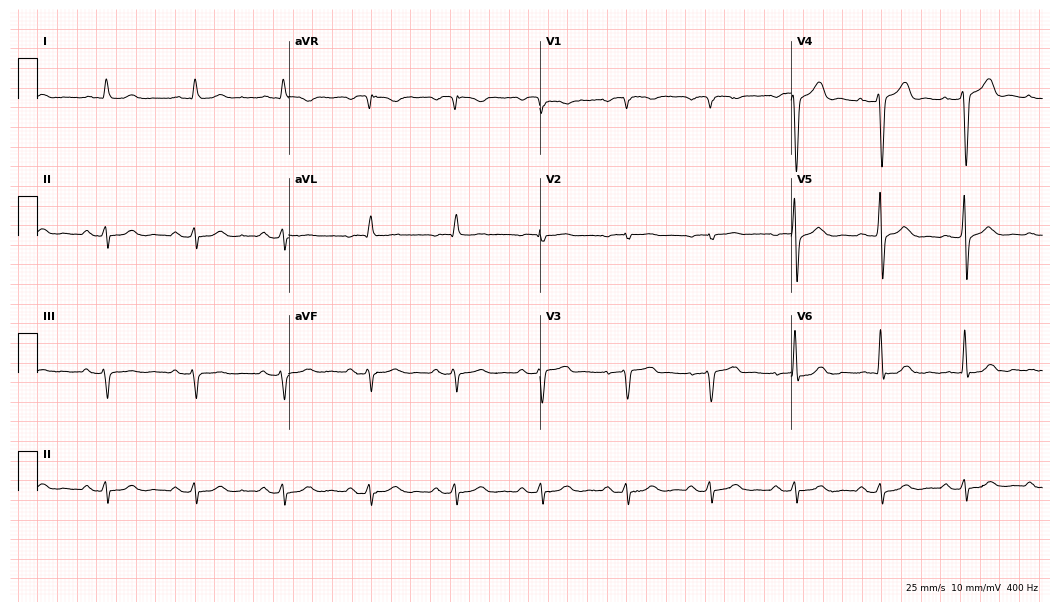
Electrocardiogram (10.2-second recording at 400 Hz), a 78-year-old male patient. Of the six screened findings (first-degree AV block, right bundle branch block, left bundle branch block, sinus bradycardia, atrial fibrillation, sinus tachycardia), none is recorded.